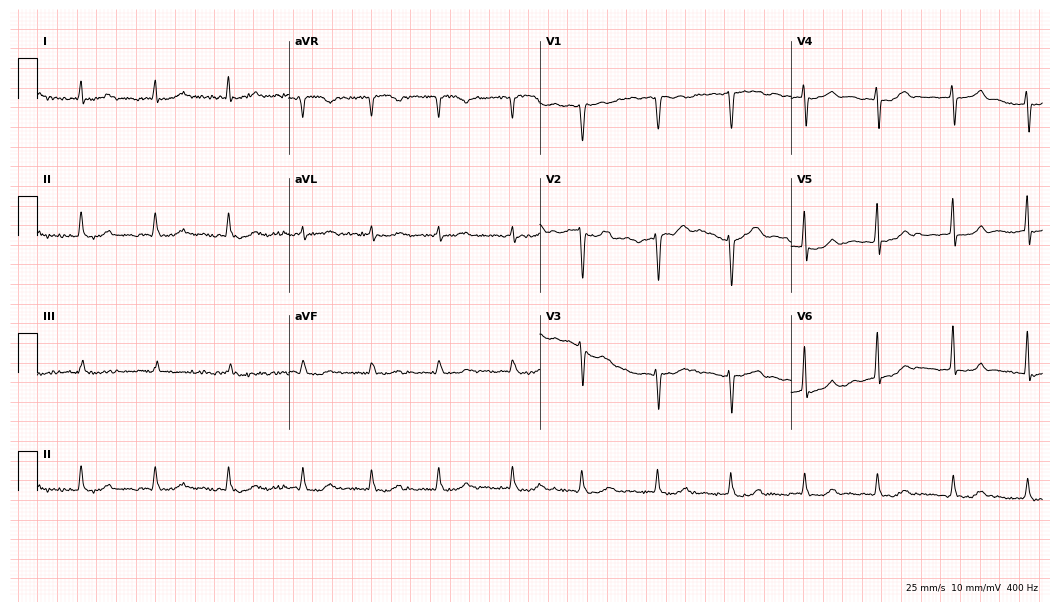
12-lead ECG from a male, 83 years old (10.2-second recording at 400 Hz). No first-degree AV block, right bundle branch block (RBBB), left bundle branch block (LBBB), sinus bradycardia, atrial fibrillation (AF) or sinus tachycardia recorded for this tracing.